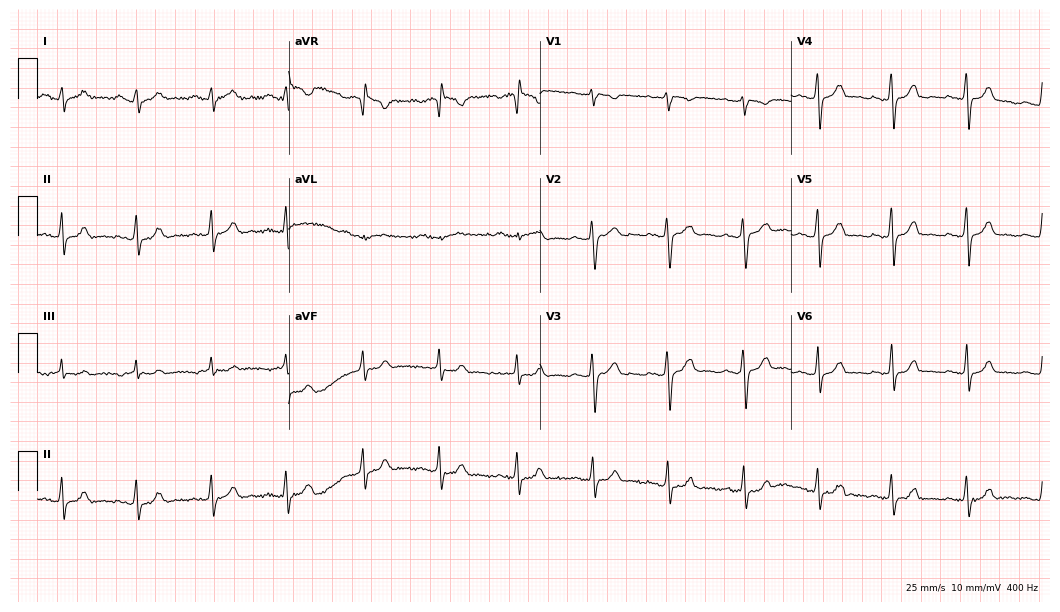
12-lead ECG from a 22-year-old woman. Labelled as a normal ECG.